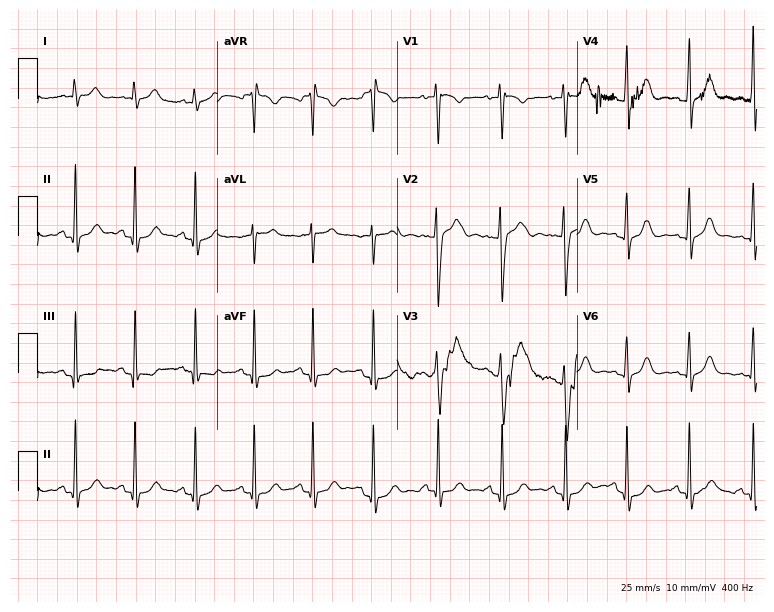
Electrocardiogram (7.3-second recording at 400 Hz), a 35-year-old female patient. Of the six screened findings (first-degree AV block, right bundle branch block, left bundle branch block, sinus bradycardia, atrial fibrillation, sinus tachycardia), none is recorded. Other findings, if any, are not listed.